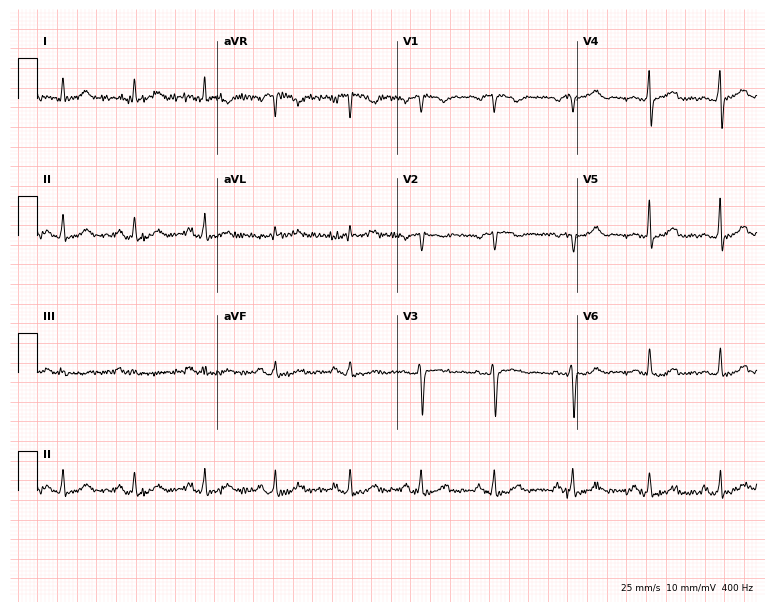
Standard 12-lead ECG recorded from a 56-year-old woman. None of these six findings is recorded: first-degree AV block, right bundle branch block (RBBB), left bundle branch block (LBBB), sinus bradycardia, atrial fibrillation (AF), sinus tachycardia.